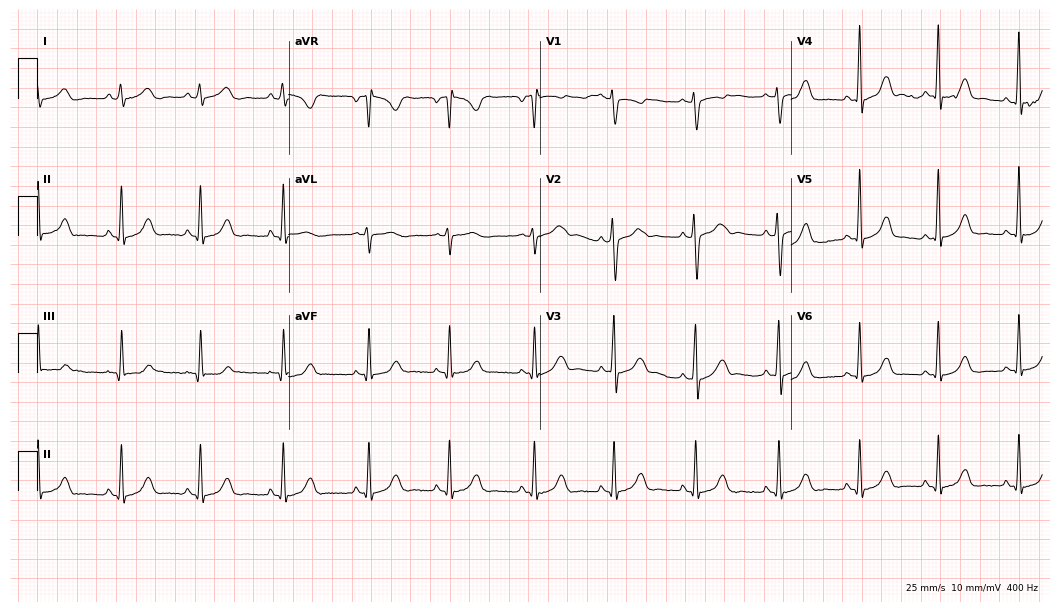
12-lead ECG from a woman, 23 years old. Labelled as a normal ECG.